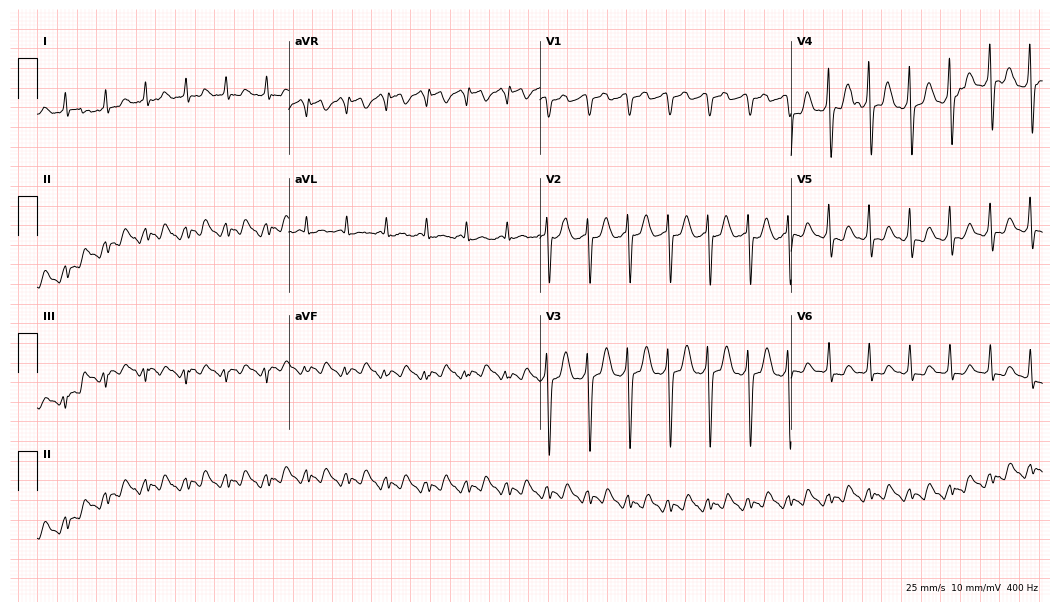
Resting 12-lead electrocardiogram. Patient: a 39-year-old man. None of these six findings is recorded: first-degree AV block, right bundle branch block, left bundle branch block, sinus bradycardia, atrial fibrillation, sinus tachycardia. Findings outside these six are not listed.